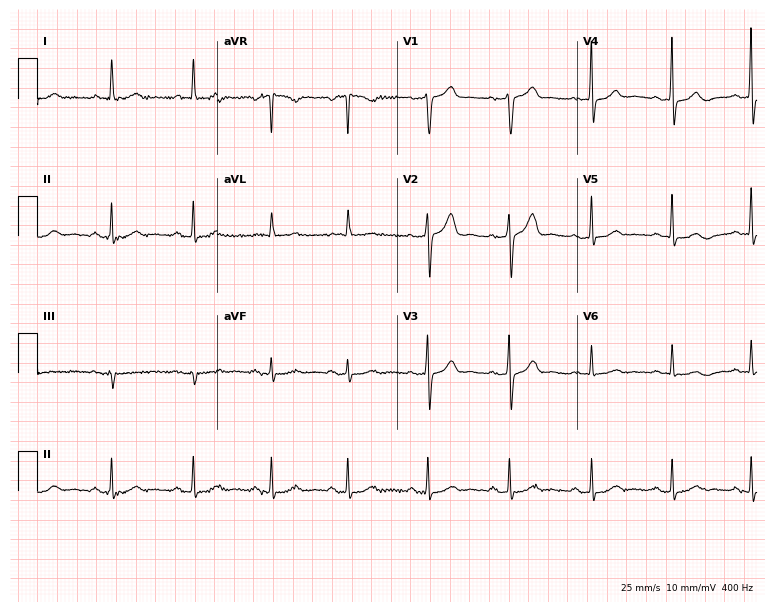
12-lead ECG (7.3-second recording at 400 Hz) from a 69-year-old female patient. Labelled as a normal ECG.